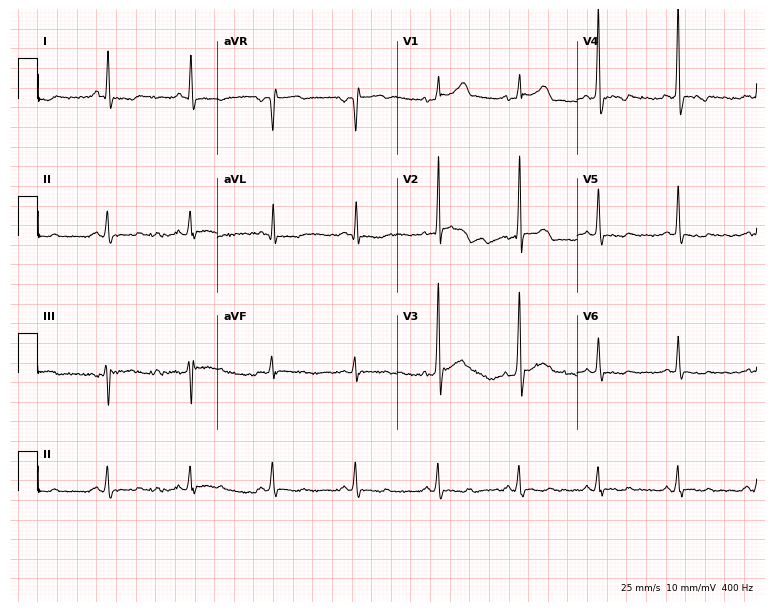
Standard 12-lead ECG recorded from a 53-year-old male. Read as a normal ECG.